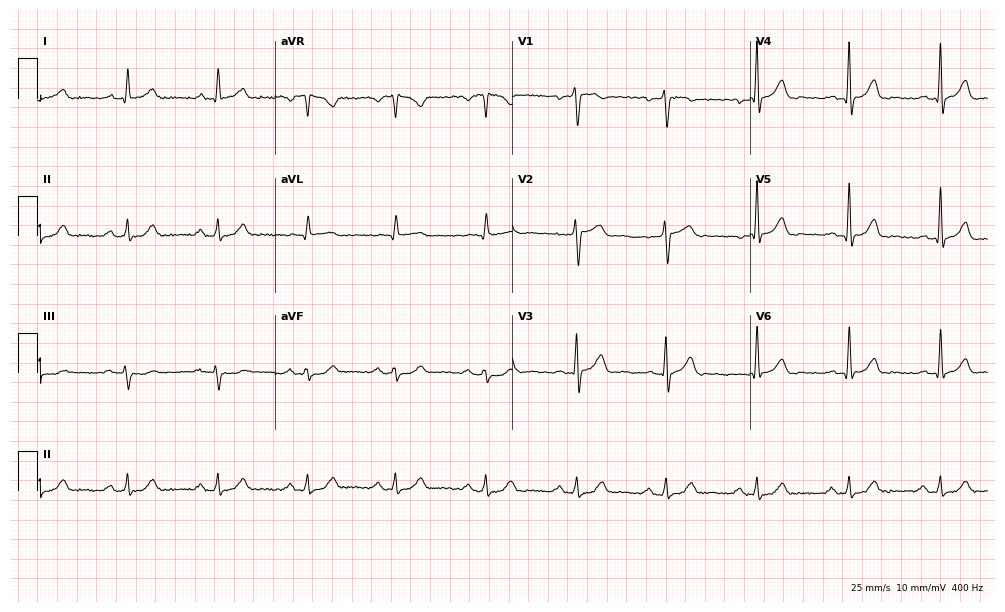
12-lead ECG from a 49-year-old female (9.7-second recording at 400 Hz). Recorded interpretation: within normal limits.